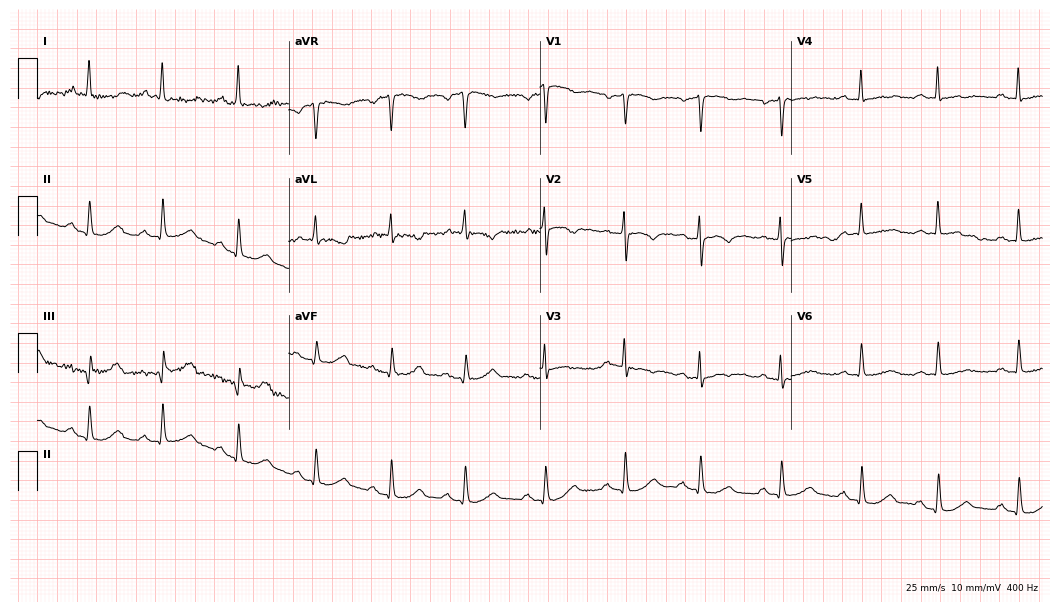
Electrocardiogram, a woman, 77 years old. Of the six screened findings (first-degree AV block, right bundle branch block, left bundle branch block, sinus bradycardia, atrial fibrillation, sinus tachycardia), none is recorded.